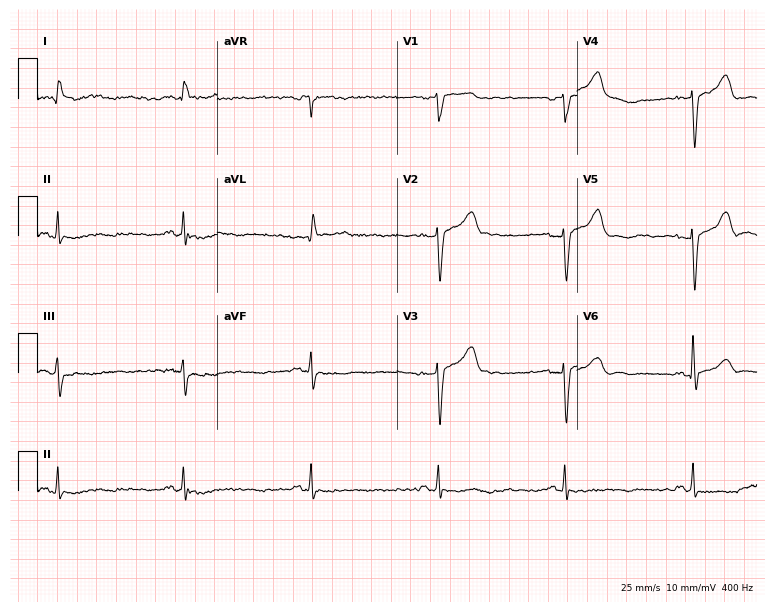
Electrocardiogram (7.3-second recording at 400 Hz), a male patient, 85 years old. Interpretation includes sinus bradycardia (a sinus rate of 50 beats per minute or less).